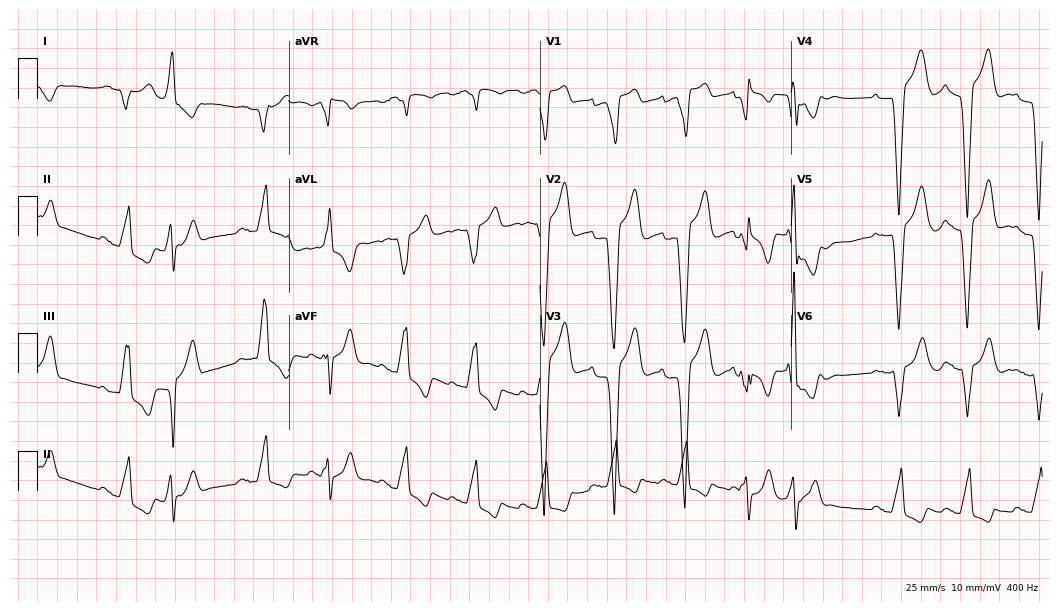
Resting 12-lead electrocardiogram (10.2-second recording at 400 Hz). Patient: an 82-year-old male. None of these six findings is recorded: first-degree AV block, right bundle branch block, left bundle branch block, sinus bradycardia, atrial fibrillation, sinus tachycardia.